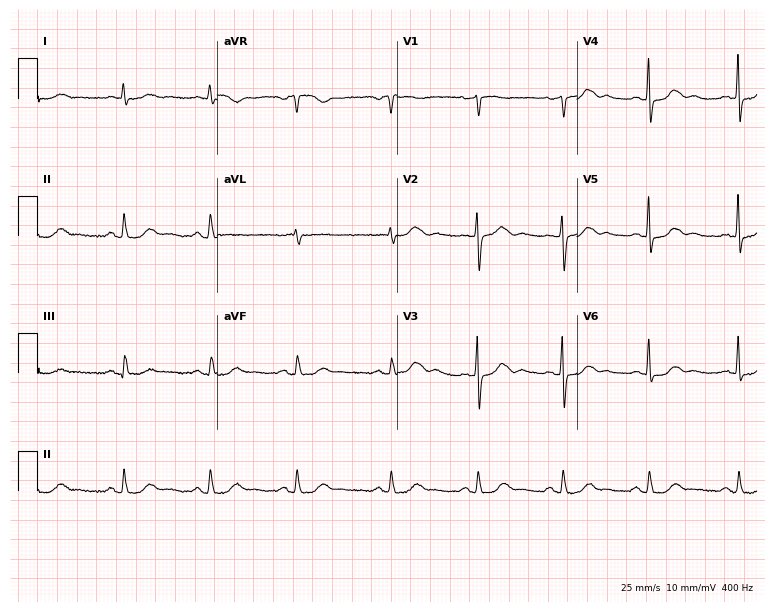
ECG (7.3-second recording at 400 Hz) — a female, 73 years old. Screened for six findings — first-degree AV block, right bundle branch block, left bundle branch block, sinus bradycardia, atrial fibrillation, sinus tachycardia — none is recorded.